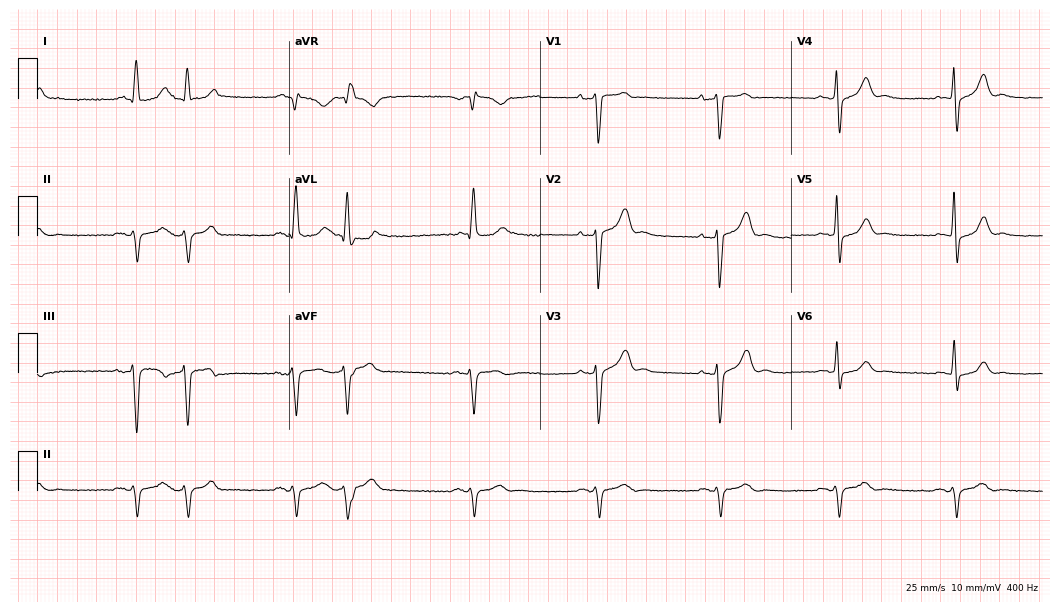
Resting 12-lead electrocardiogram. Patient: a male, 65 years old. None of these six findings is recorded: first-degree AV block, right bundle branch block, left bundle branch block, sinus bradycardia, atrial fibrillation, sinus tachycardia.